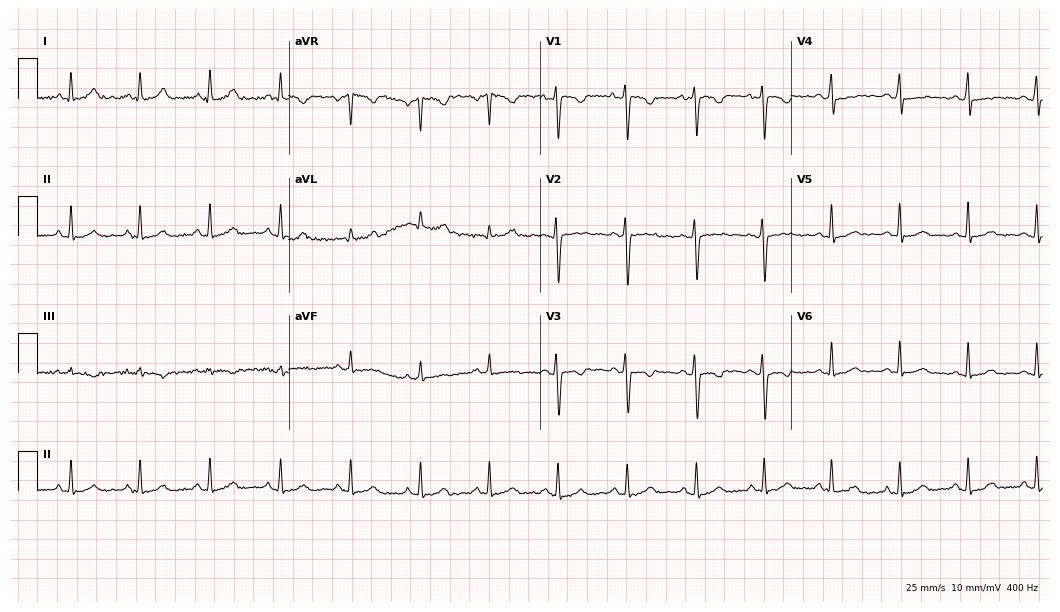
Standard 12-lead ECG recorded from a 27-year-old female. None of these six findings is recorded: first-degree AV block, right bundle branch block, left bundle branch block, sinus bradycardia, atrial fibrillation, sinus tachycardia. Other findings, if any, are not listed.